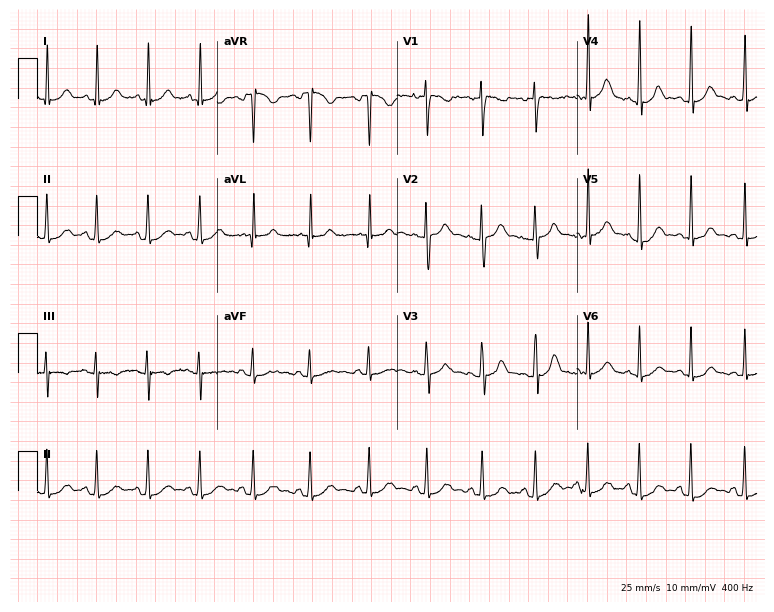
12-lead ECG from a female, 19 years old (7.3-second recording at 400 Hz). Shows sinus tachycardia (a sinus rate of 100 beats per minute or more).